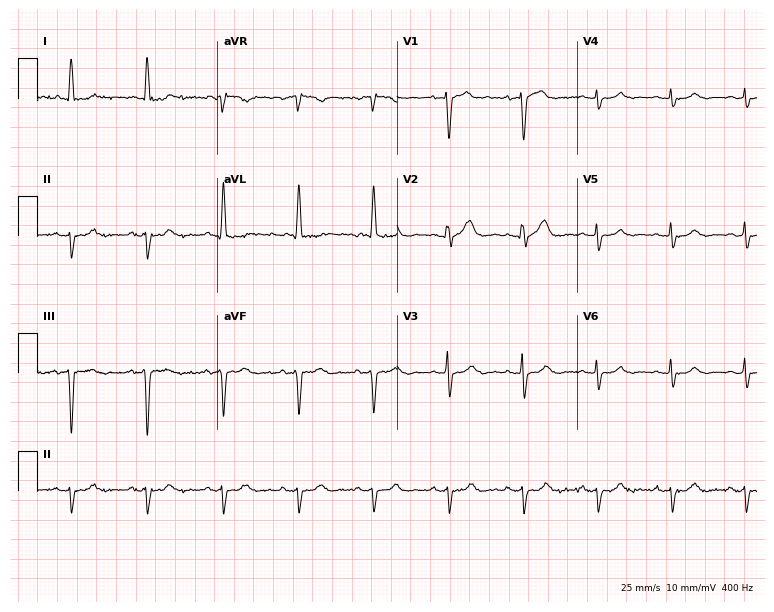
ECG (7.3-second recording at 400 Hz) — a 77-year-old female patient. Screened for six findings — first-degree AV block, right bundle branch block (RBBB), left bundle branch block (LBBB), sinus bradycardia, atrial fibrillation (AF), sinus tachycardia — none is recorded.